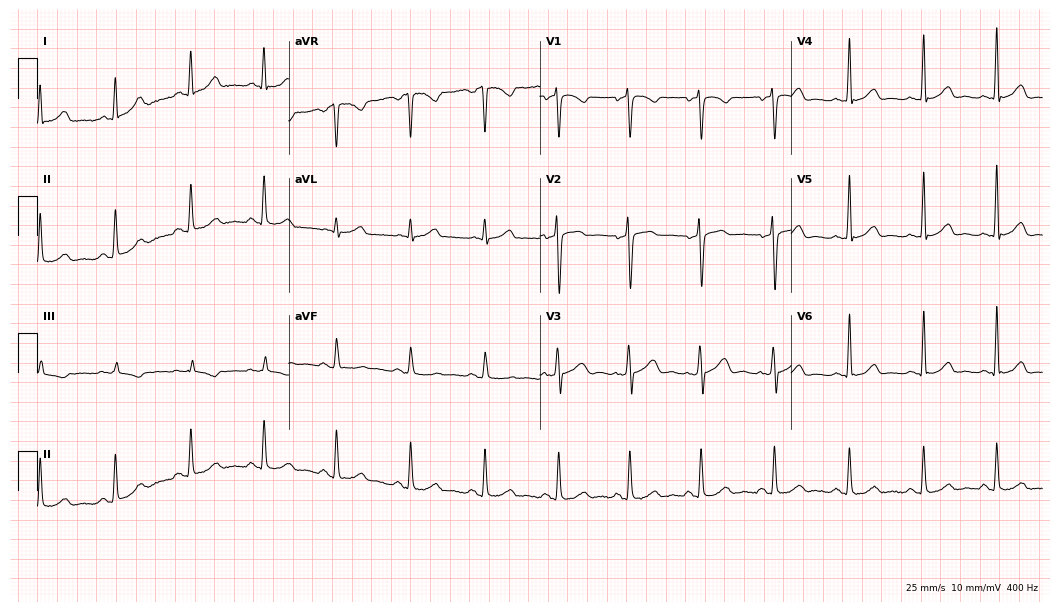
ECG — a 41-year-old female patient. Labelled as a normal ECG.